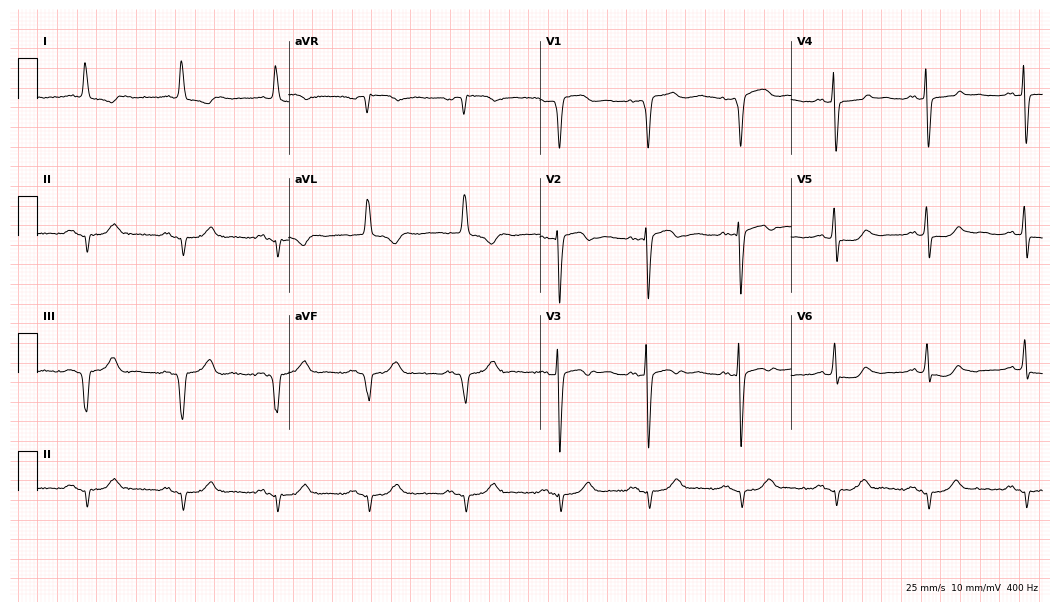
12-lead ECG from a 48-year-old male patient. Screened for six findings — first-degree AV block, right bundle branch block, left bundle branch block, sinus bradycardia, atrial fibrillation, sinus tachycardia — none is recorded.